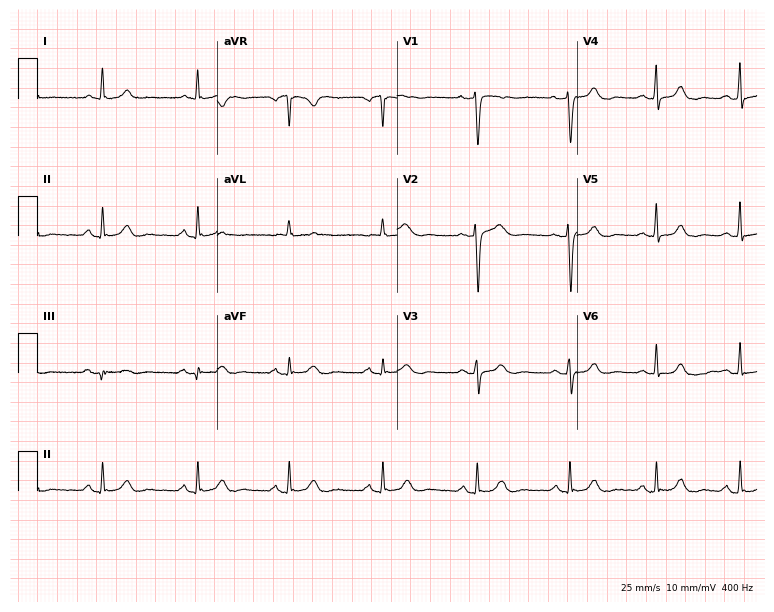
12-lead ECG (7.3-second recording at 400 Hz) from a female, 54 years old. Labelled as a normal ECG.